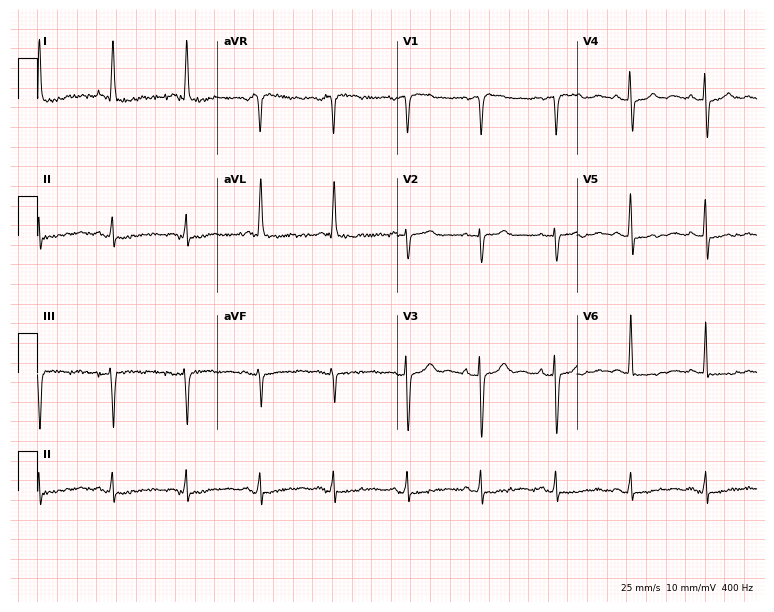
12-lead ECG (7.3-second recording at 400 Hz) from a female, 66 years old. Screened for six findings — first-degree AV block, right bundle branch block (RBBB), left bundle branch block (LBBB), sinus bradycardia, atrial fibrillation (AF), sinus tachycardia — none is recorded.